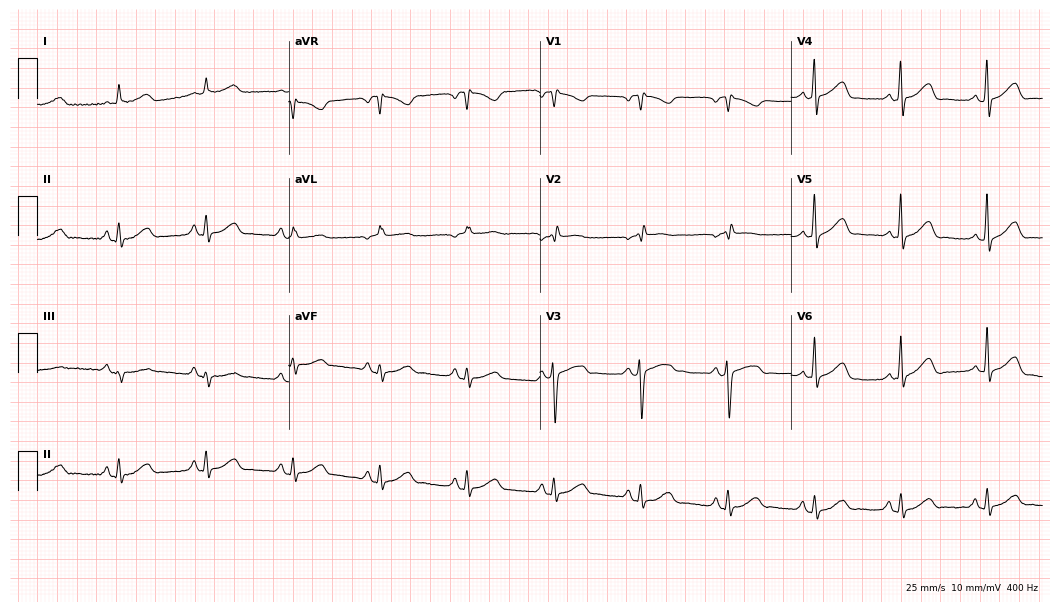
ECG — a woman, 80 years old. Labelled as a normal ECG.